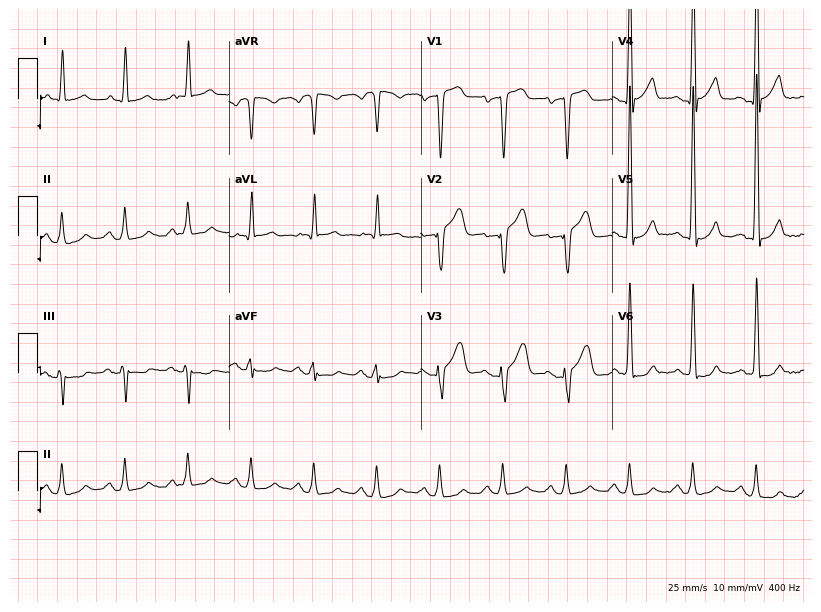
Standard 12-lead ECG recorded from a 66-year-old male (7.8-second recording at 400 Hz). None of these six findings is recorded: first-degree AV block, right bundle branch block, left bundle branch block, sinus bradycardia, atrial fibrillation, sinus tachycardia.